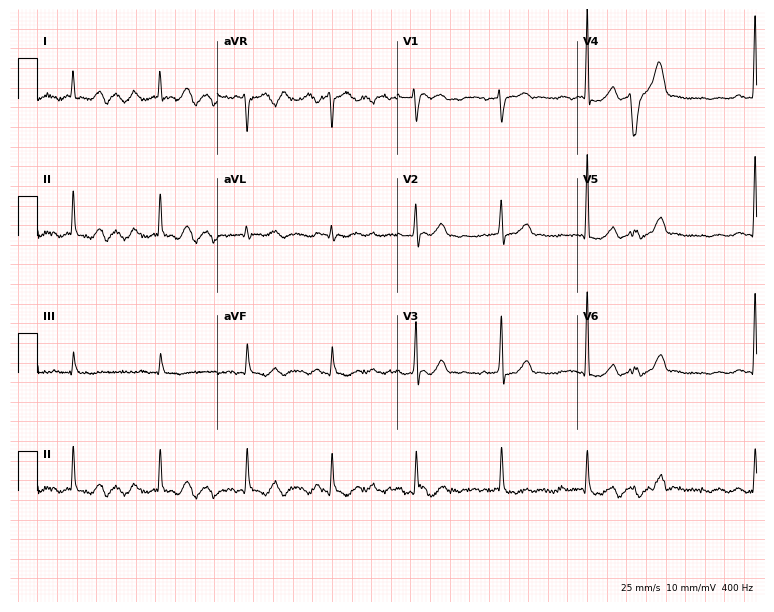
Electrocardiogram, a 78-year-old woman. Overall reading on record: normal ECG.